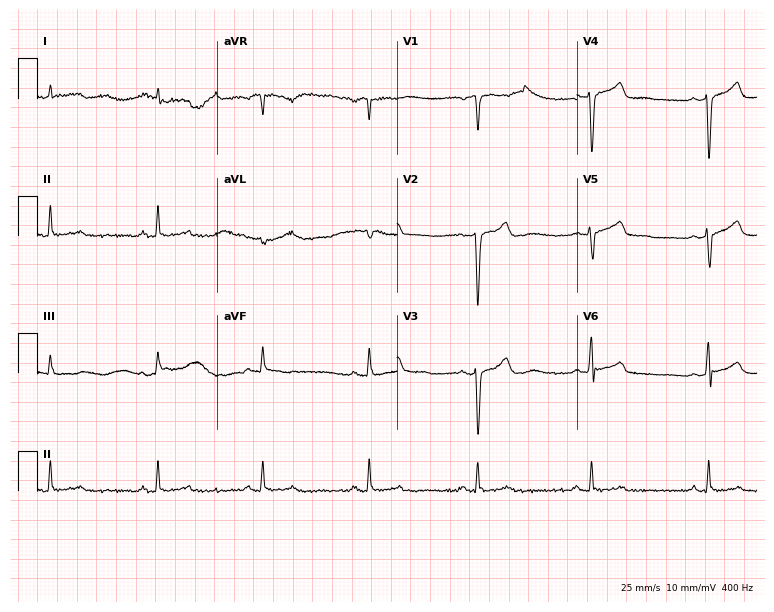
12-lead ECG from a male, 60 years old. Recorded interpretation: within normal limits.